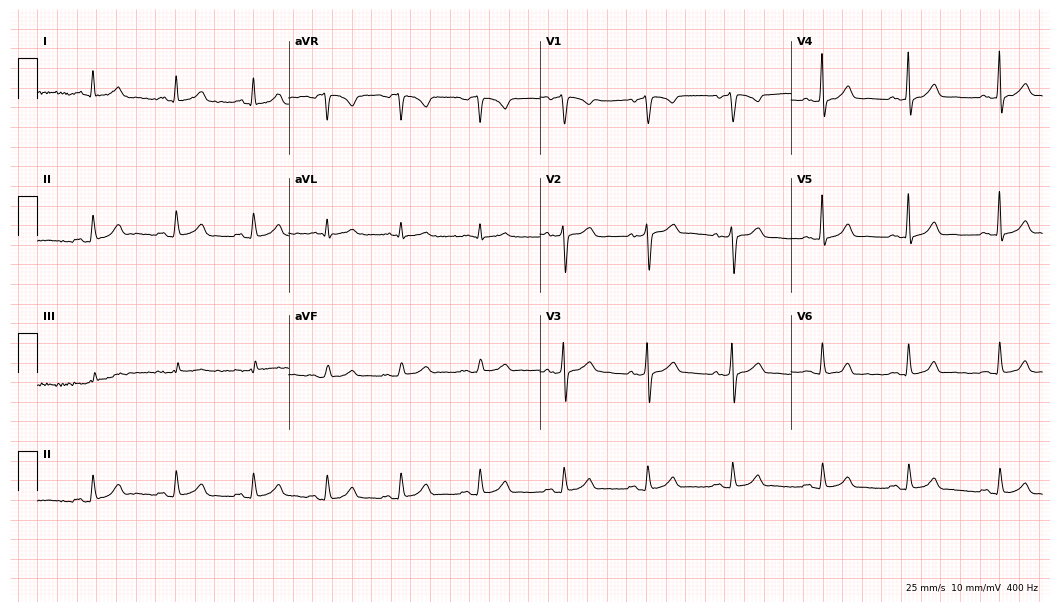
Standard 12-lead ECG recorded from a 38-year-old female. None of these six findings is recorded: first-degree AV block, right bundle branch block, left bundle branch block, sinus bradycardia, atrial fibrillation, sinus tachycardia.